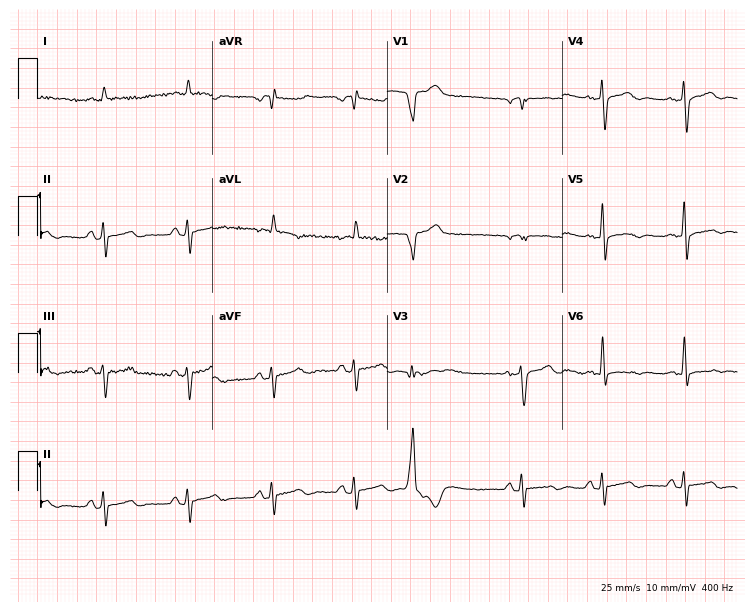
ECG (7.1-second recording at 400 Hz) — a male patient, 69 years old. Screened for six findings — first-degree AV block, right bundle branch block, left bundle branch block, sinus bradycardia, atrial fibrillation, sinus tachycardia — none is recorded. Other findings, if any, are not listed.